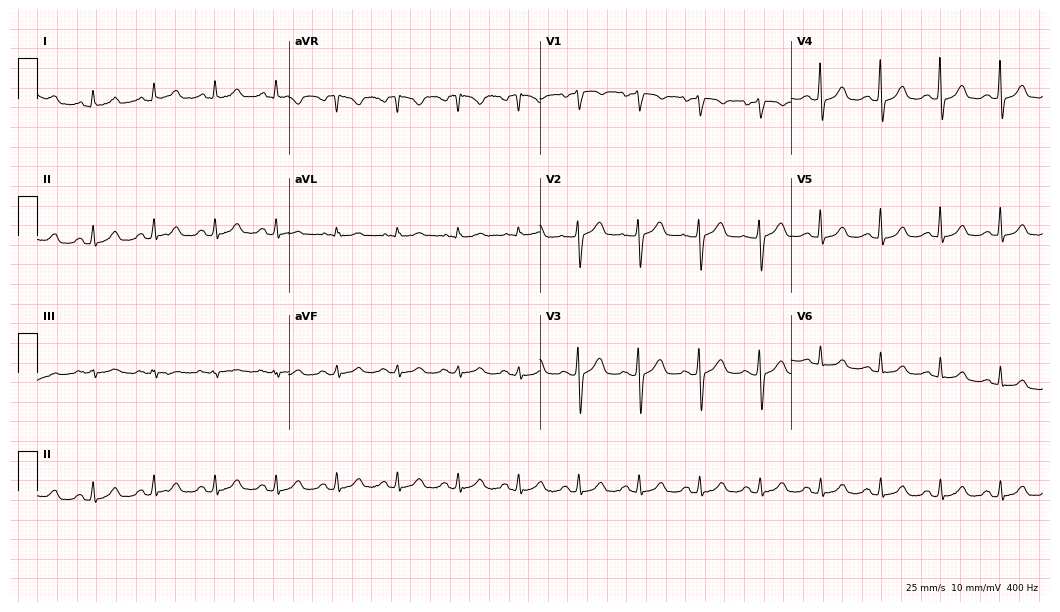
Resting 12-lead electrocardiogram (10.2-second recording at 400 Hz). Patient: a female, 49 years old. Read as a normal ECG.